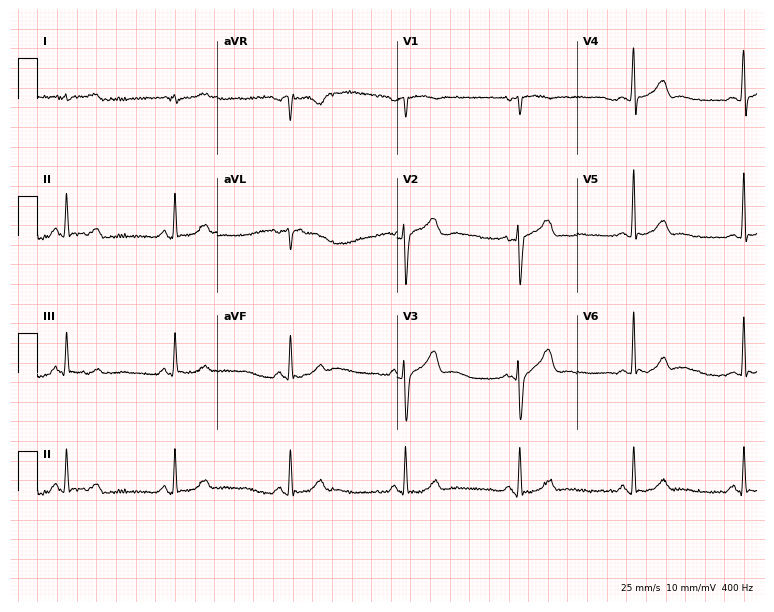
Standard 12-lead ECG recorded from a man, 75 years old (7.3-second recording at 400 Hz). Read as a normal ECG.